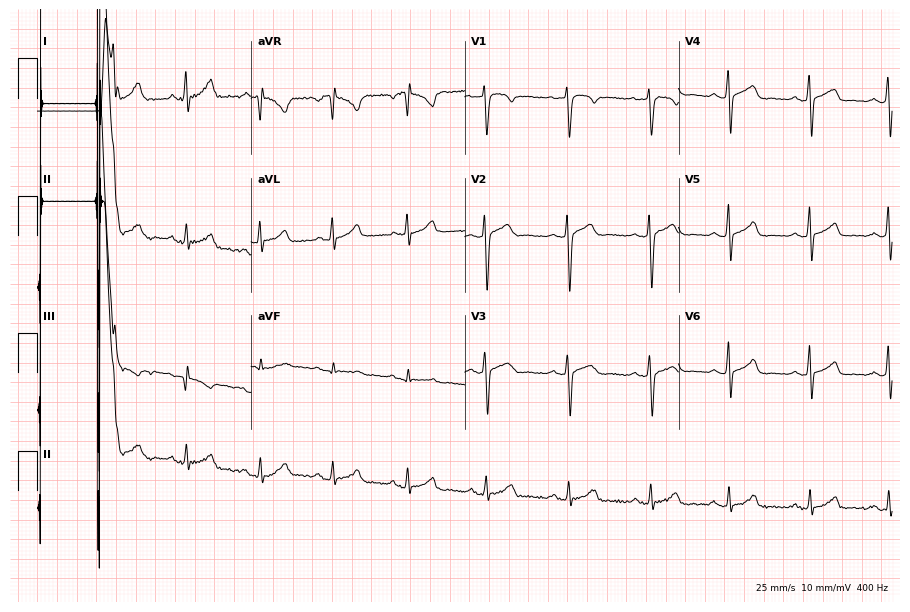
Standard 12-lead ECG recorded from a 32-year-old man (8.7-second recording at 400 Hz). Read as a normal ECG.